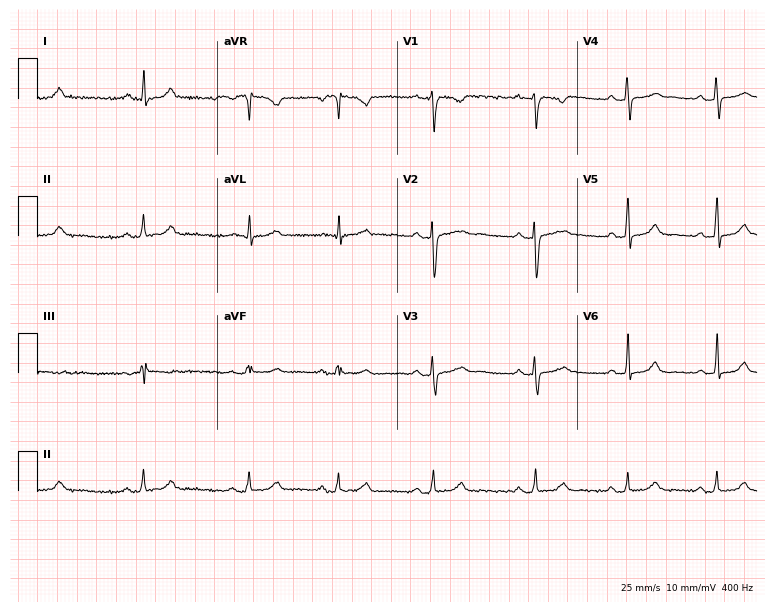
ECG (7.3-second recording at 400 Hz) — a female, 28 years old. Screened for six findings — first-degree AV block, right bundle branch block, left bundle branch block, sinus bradycardia, atrial fibrillation, sinus tachycardia — none is recorded.